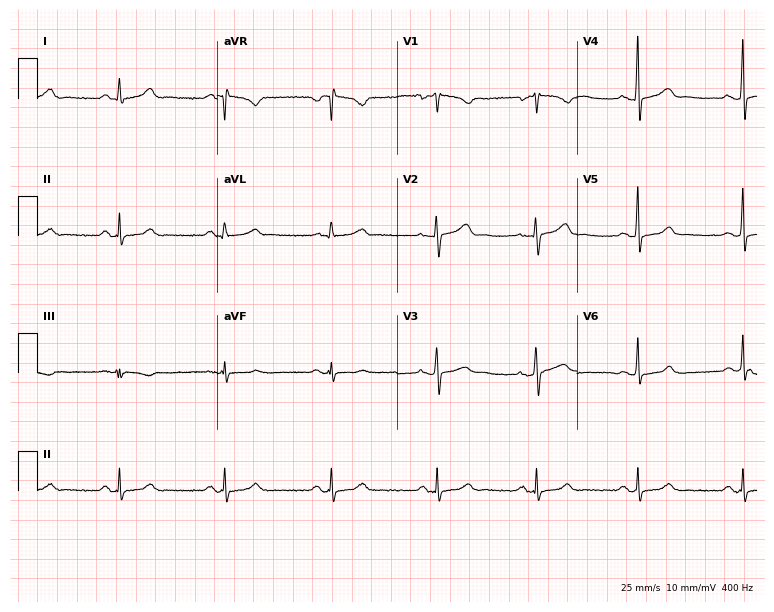
ECG — a female patient, 54 years old. Labelled as a normal ECG.